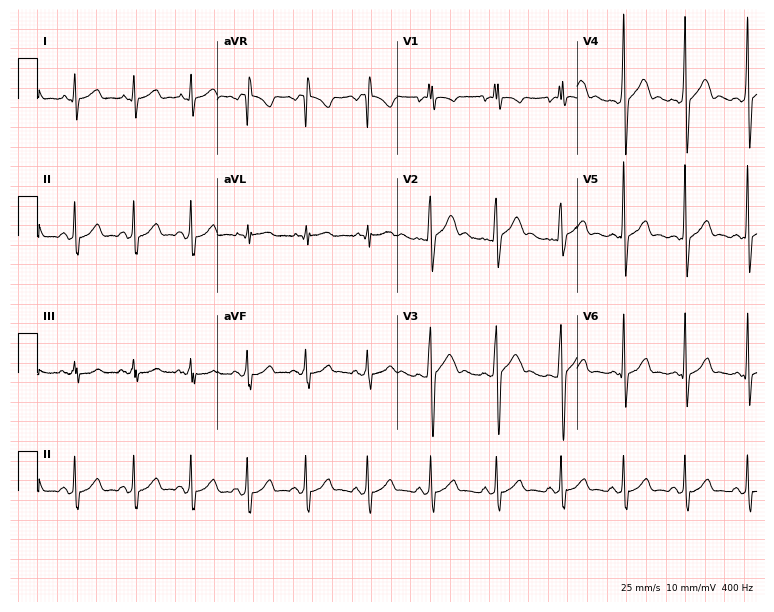
12-lead ECG from a male, 17 years old. No first-degree AV block, right bundle branch block, left bundle branch block, sinus bradycardia, atrial fibrillation or sinus tachycardia recorded for this tracing. Other findings, if any, are not listed.